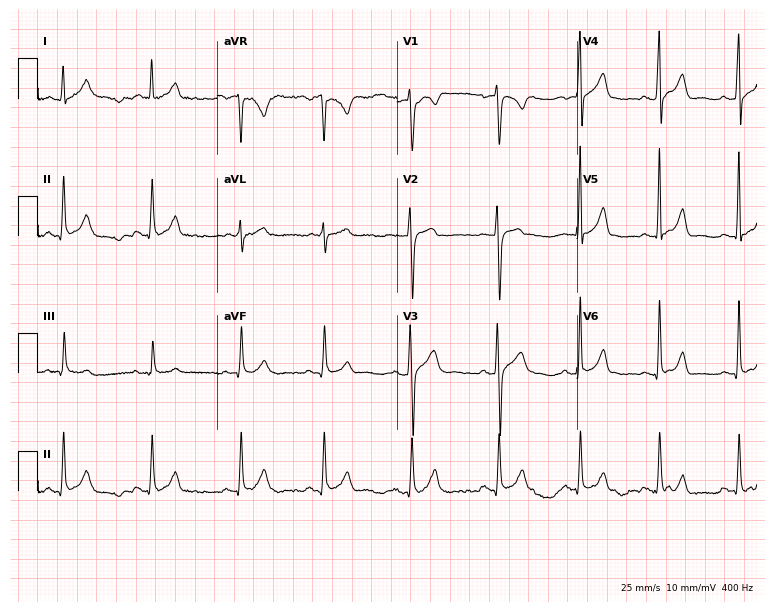
12-lead ECG from a male, 29 years old. Recorded interpretation: within normal limits.